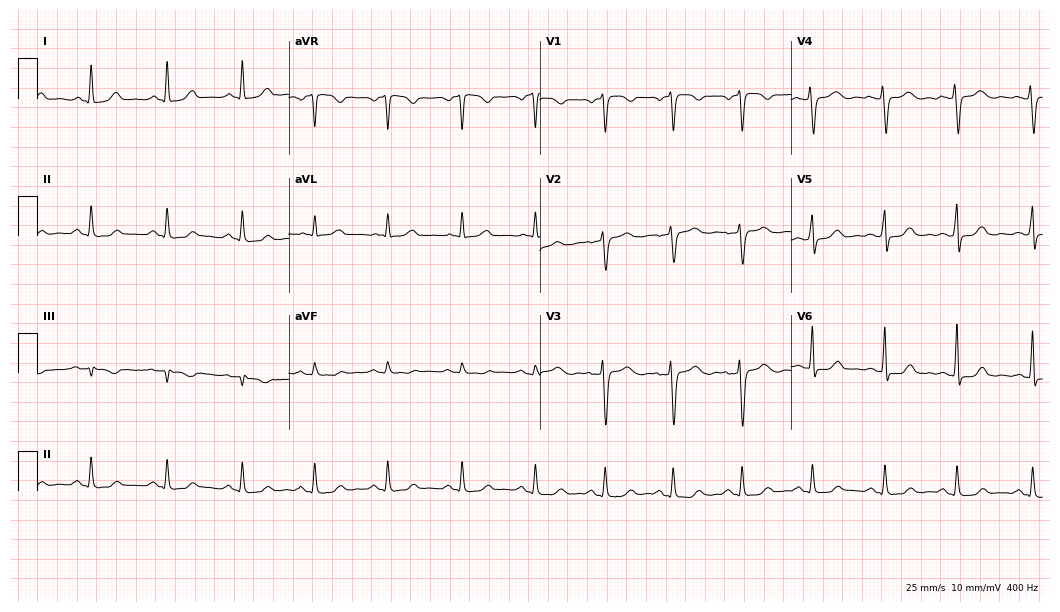
Resting 12-lead electrocardiogram. Patient: a female, 46 years old. Read as a normal ECG.